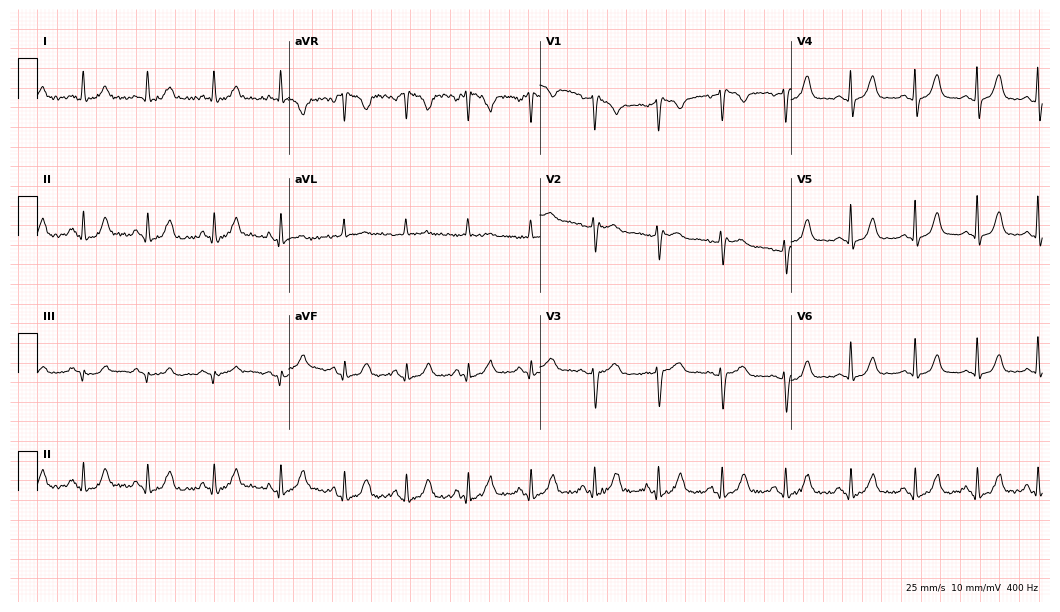
Electrocardiogram, a 45-year-old female. Overall reading on record: normal ECG.